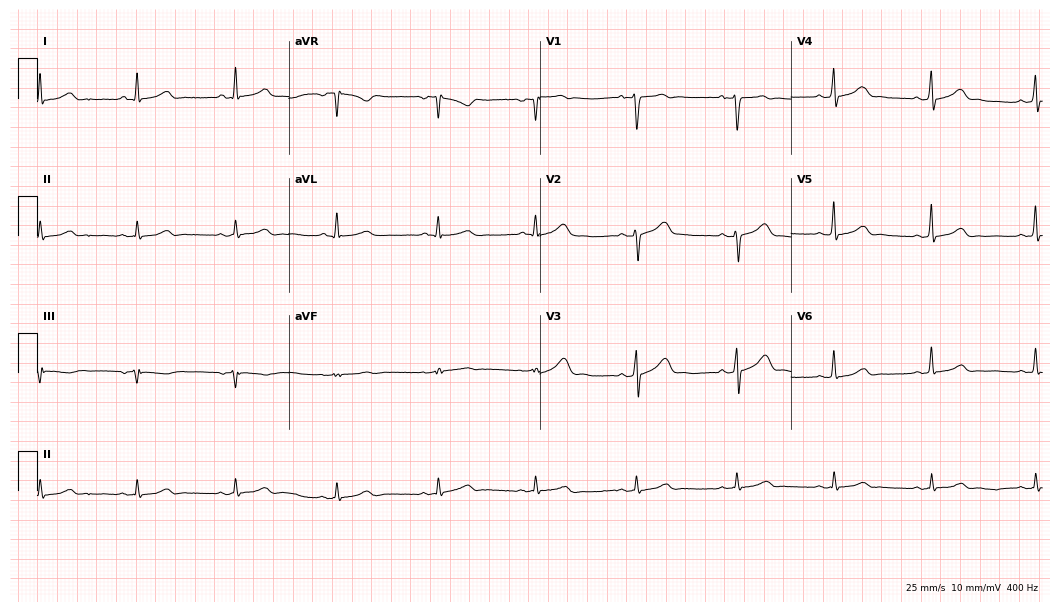
12-lead ECG from a 59-year-old man. Labelled as a normal ECG.